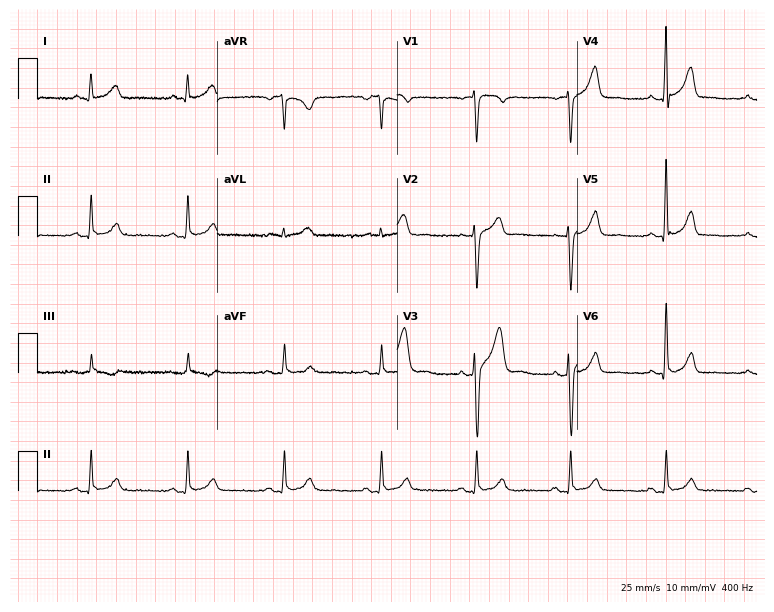
ECG — a 35-year-old male. Labelled as a normal ECG.